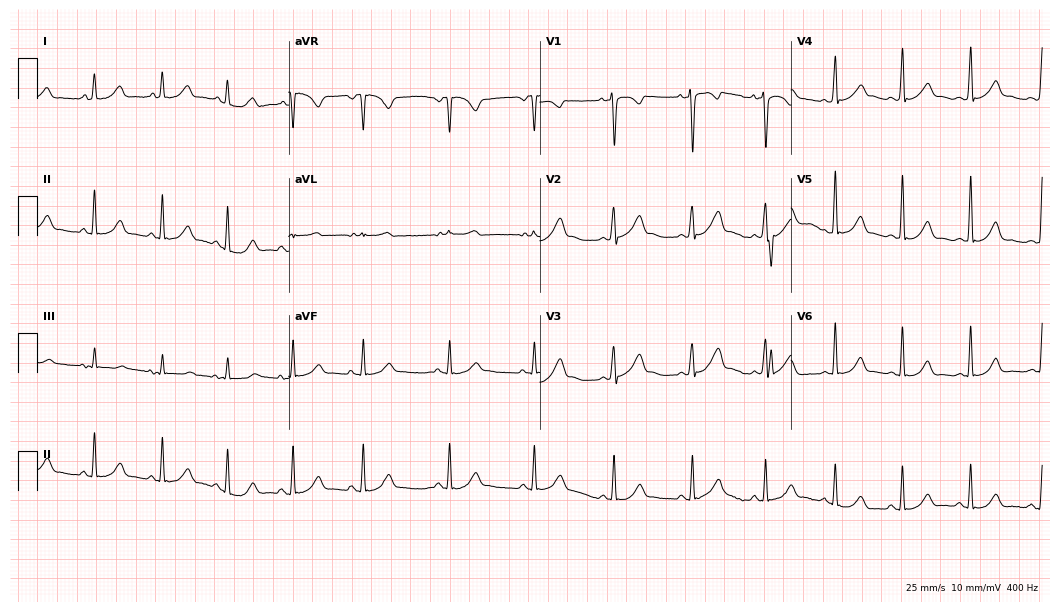
Resting 12-lead electrocardiogram (10.2-second recording at 400 Hz). Patient: a woman, 26 years old. Read as a normal ECG.